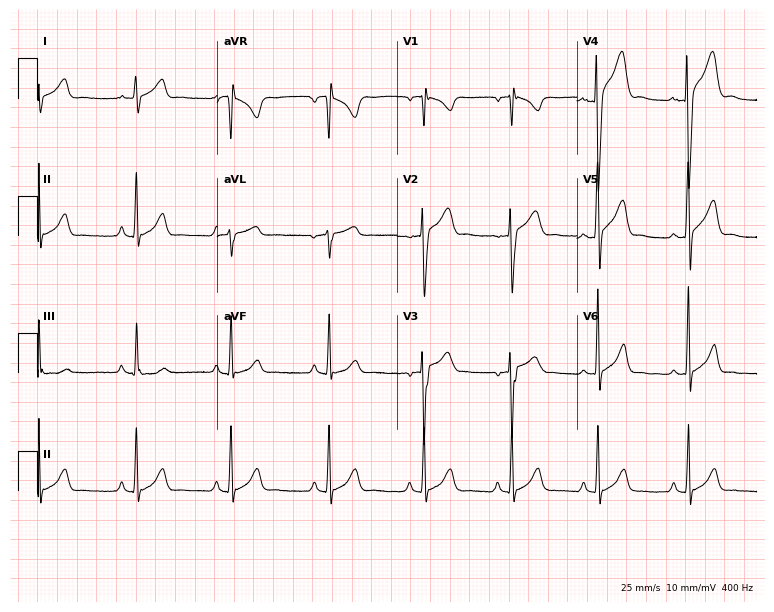
Electrocardiogram, an 18-year-old male. Overall reading on record: normal ECG.